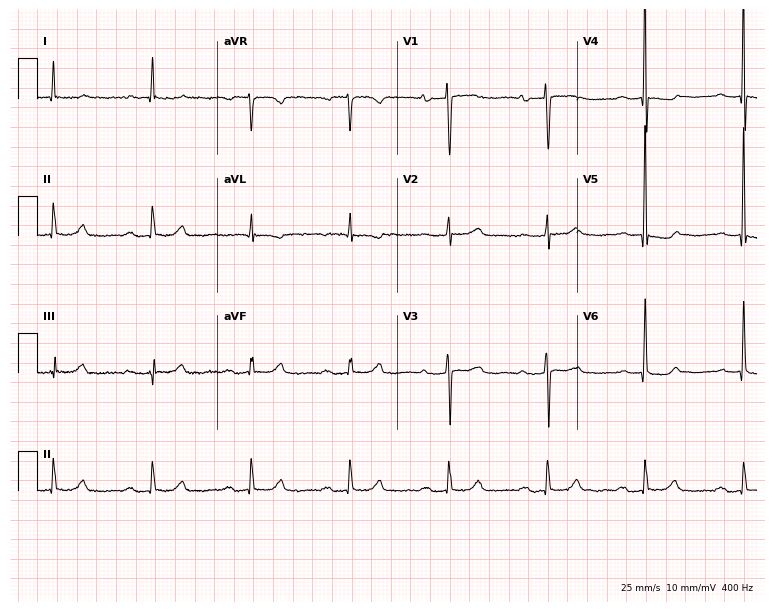
Standard 12-lead ECG recorded from a female patient, 84 years old (7.3-second recording at 400 Hz). None of these six findings is recorded: first-degree AV block, right bundle branch block (RBBB), left bundle branch block (LBBB), sinus bradycardia, atrial fibrillation (AF), sinus tachycardia. Only these six findings were labelled.